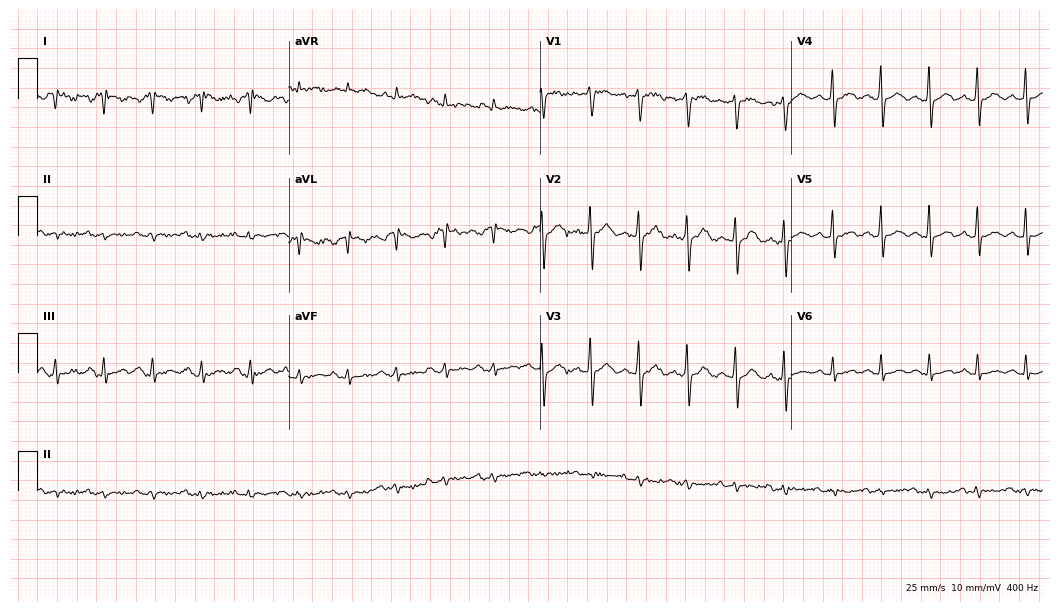
Resting 12-lead electrocardiogram. Patient: a 21-year-old man. None of these six findings is recorded: first-degree AV block, right bundle branch block (RBBB), left bundle branch block (LBBB), sinus bradycardia, atrial fibrillation (AF), sinus tachycardia.